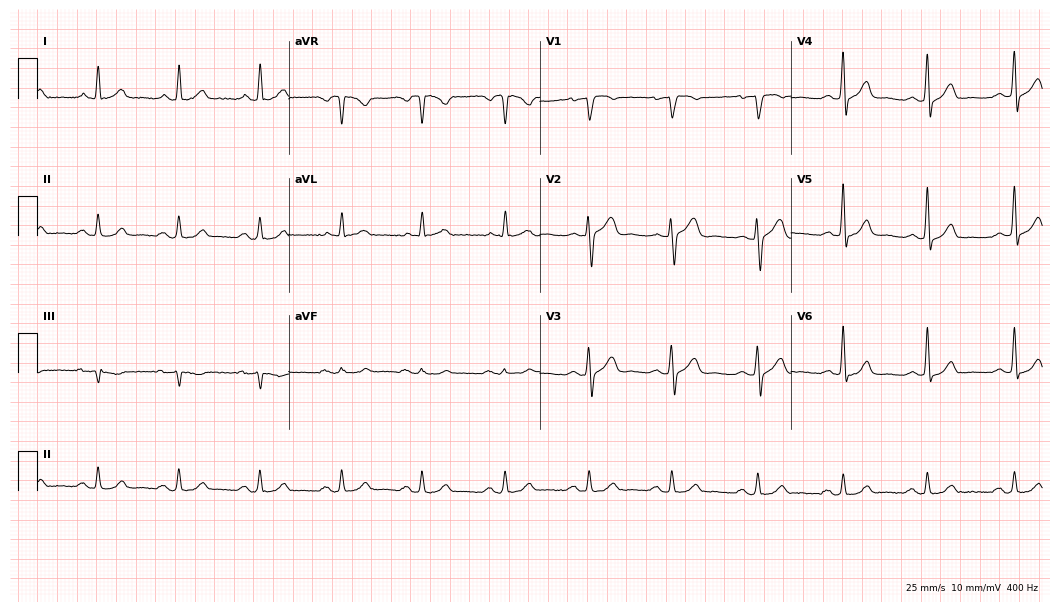
Resting 12-lead electrocardiogram. Patient: a 61-year-old man. Read as a normal ECG.